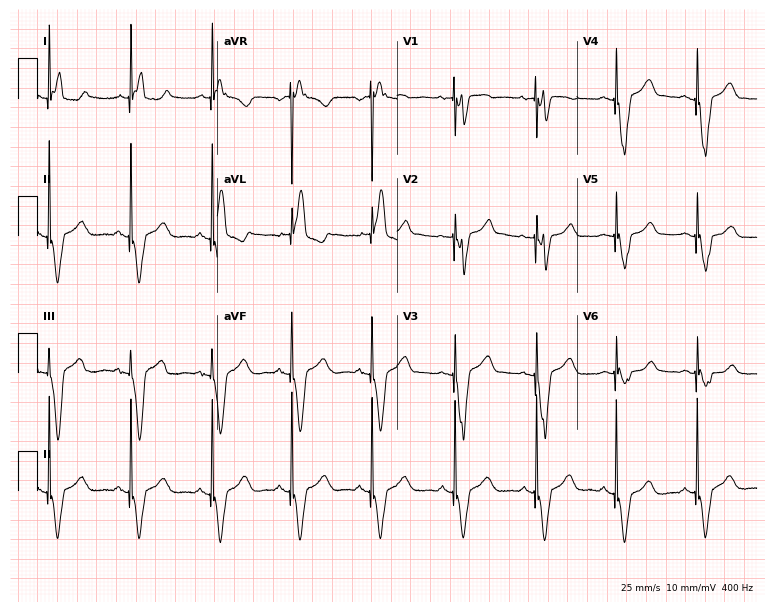
ECG (7.3-second recording at 400 Hz) — a woman, 69 years old. Screened for six findings — first-degree AV block, right bundle branch block (RBBB), left bundle branch block (LBBB), sinus bradycardia, atrial fibrillation (AF), sinus tachycardia — none is recorded.